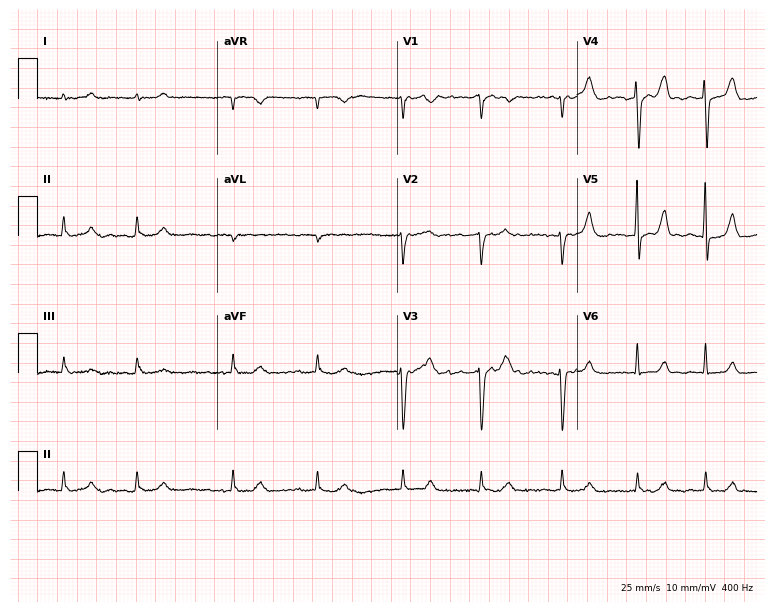
Resting 12-lead electrocardiogram (7.3-second recording at 400 Hz). Patient: a male, 86 years old. The tracing shows atrial fibrillation.